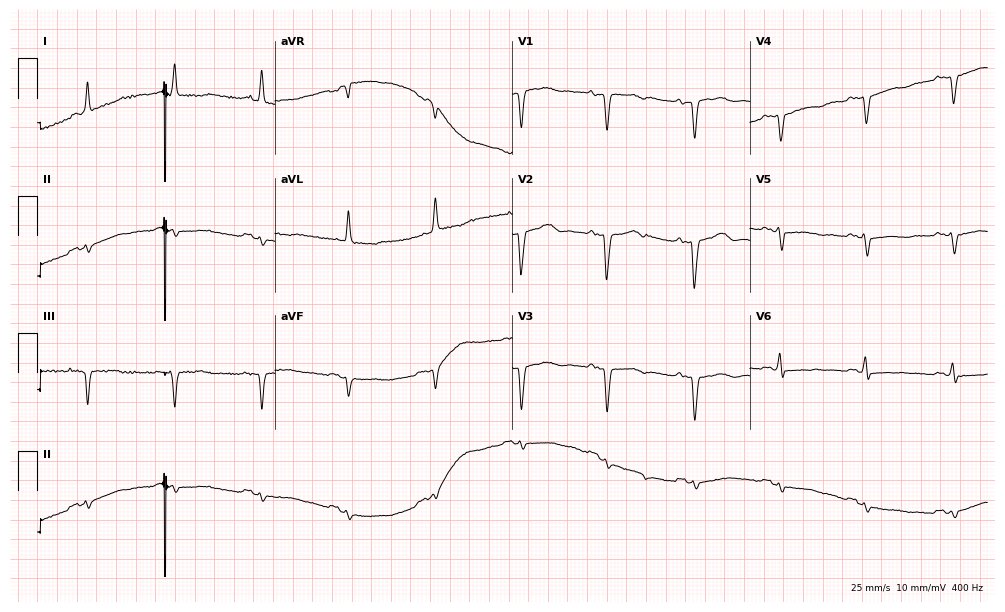
ECG — a 76-year-old female patient. Screened for six findings — first-degree AV block, right bundle branch block, left bundle branch block, sinus bradycardia, atrial fibrillation, sinus tachycardia — none is recorded. Other findings, if any, are not listed.